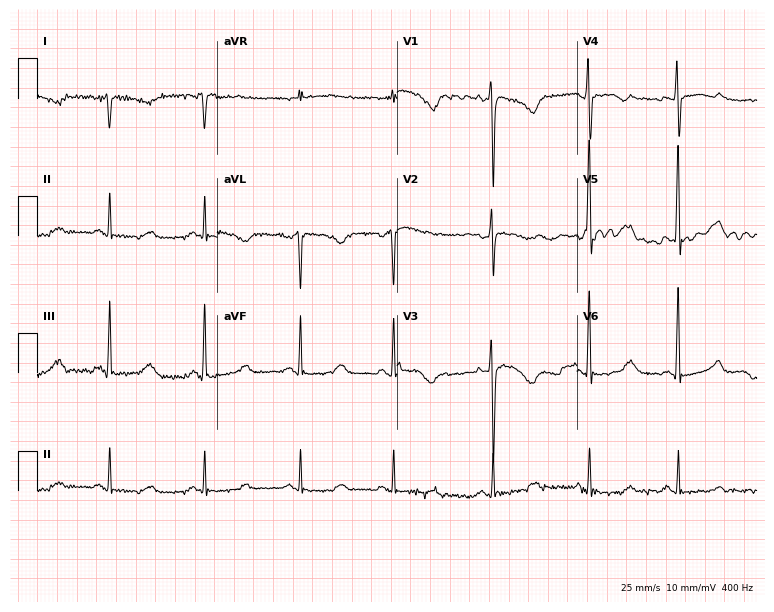
Resting 12-lead electrocardiogram. Patient: a 36-year-old female. None of these six findings is recorded: first-degree AV block, right bundle branch block, left bundle branch block, sinus bradycardia, atrial fibrillation, sinus tachycardia. Only these six findings were labelled.